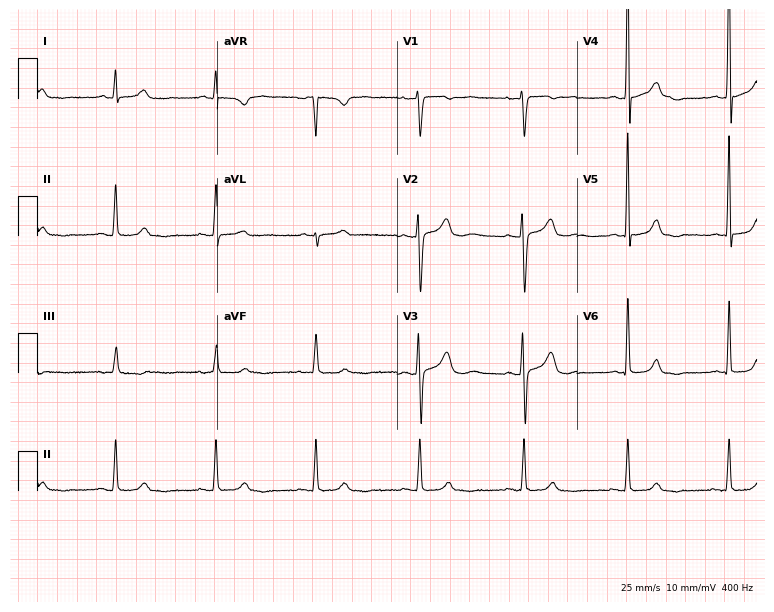
Electrocardiogram (7.3-second recording at 400 Hz), a female, 39 years old. Of the six screened findings (first-degree AV block, right bundle branch block, left bundle branch block, sinus bradycardia, atrial fibrillation, sinus tachycardia), none is recorded. Findings outside these six are not listed.